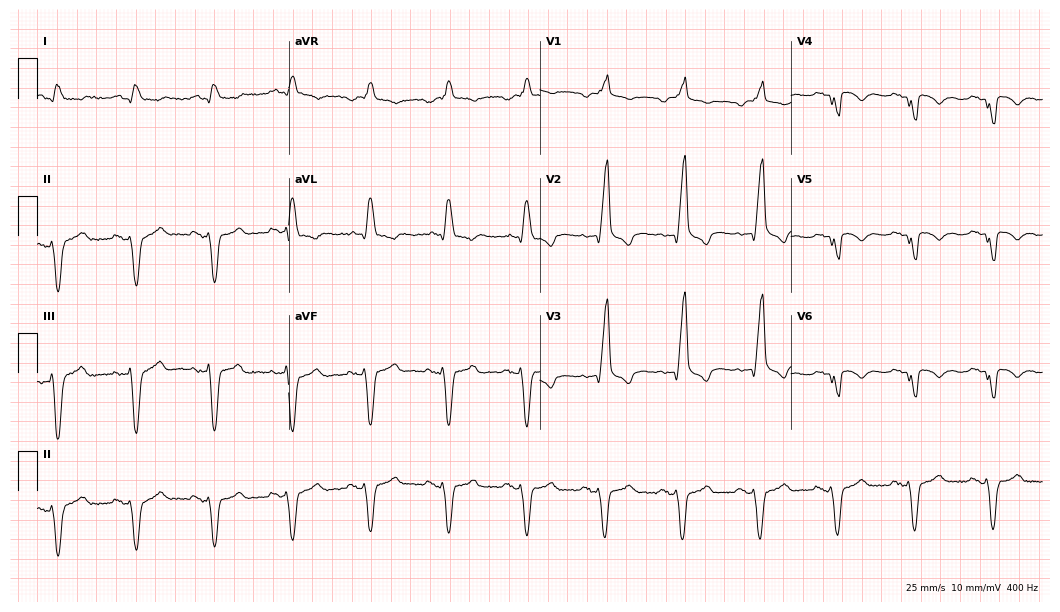
Standard 12-lead ECG recorded from a 78-year-old man. The tracing shows right bundle branch block (RBBB).